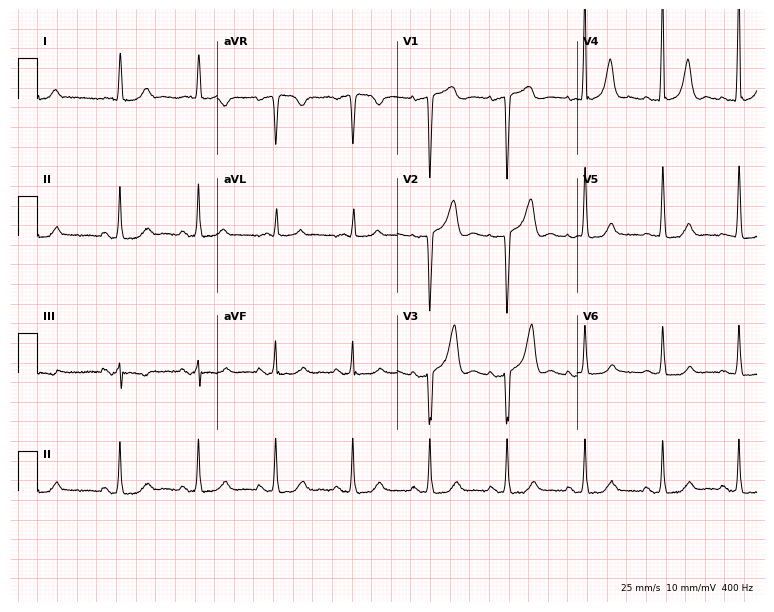
Resting 12-lead electrocardiogram. Patient: a male, 81 years old. None of these six findings is recorded: first-degree AV block, right bundle branch block, left bundle branch block, sinus bradycardia, atrial fibrillation, sinus tachycardia.